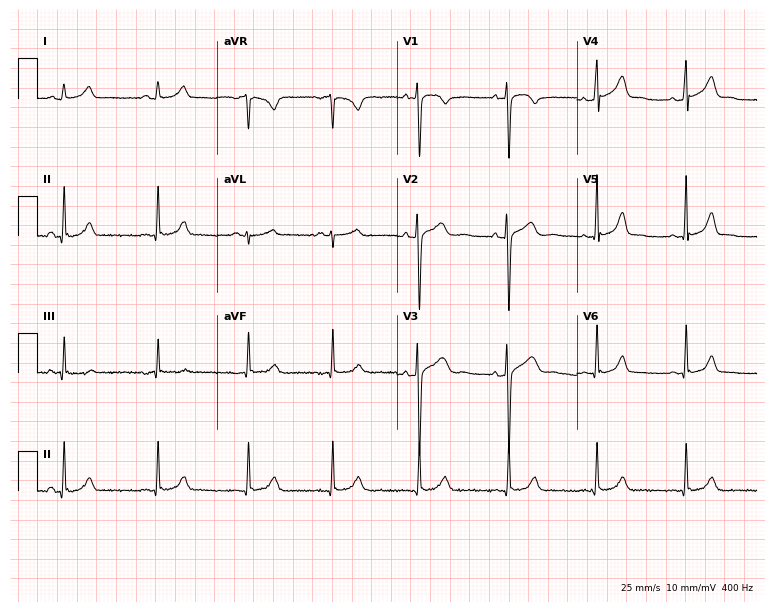
ECG — a 21-year-old woman. Labelled as a normal ECG.